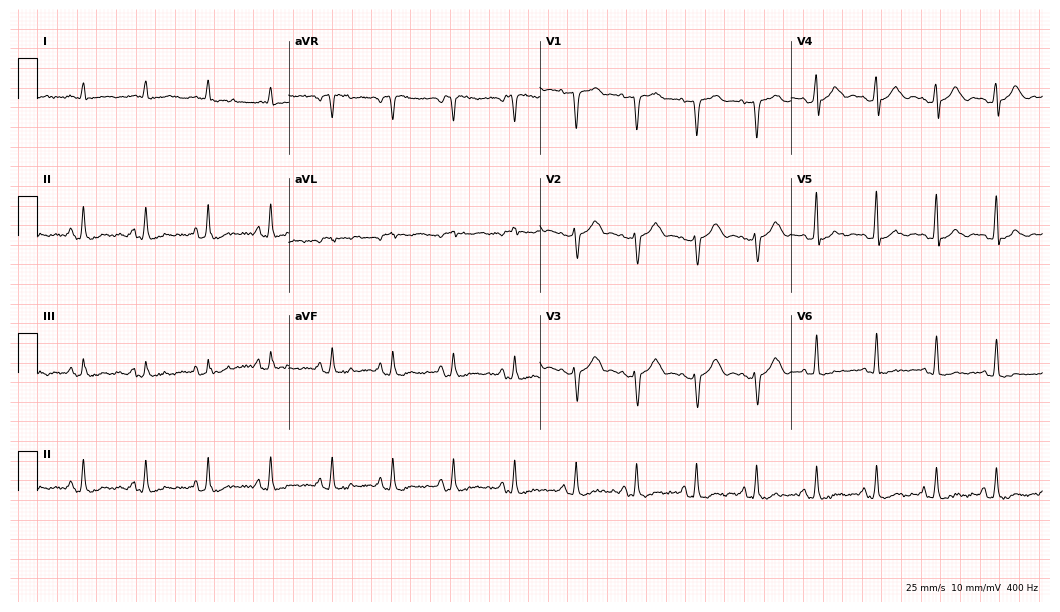
12-lead ECG from a 53-year-old male patient. No first-degree AV block, right bundle branch block, left bundle branch block, sinus bradycardia, atrial fibrillation or sinus tachycardia recorded for this tracing.